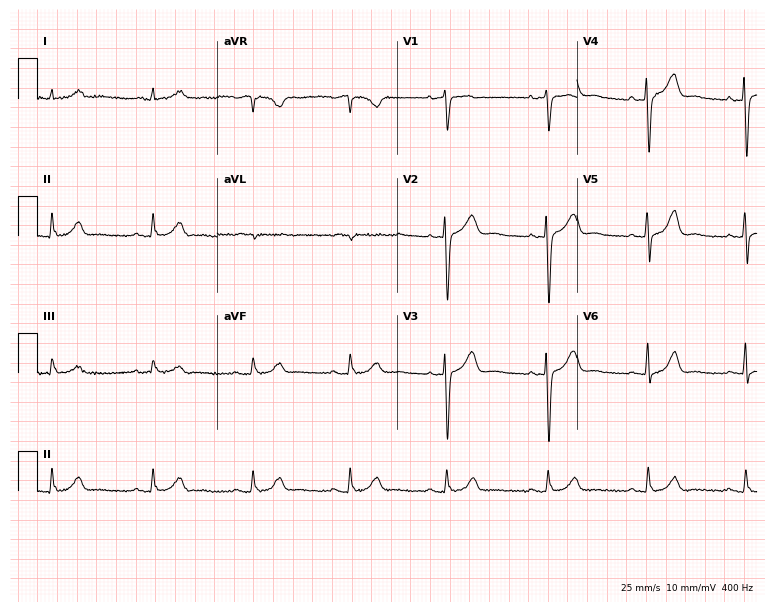
Resting 12-lead electrocardiogram (7.3-second recording at 400 Hz). Patient: a 74-year-old woman. Read as a normal ECG.